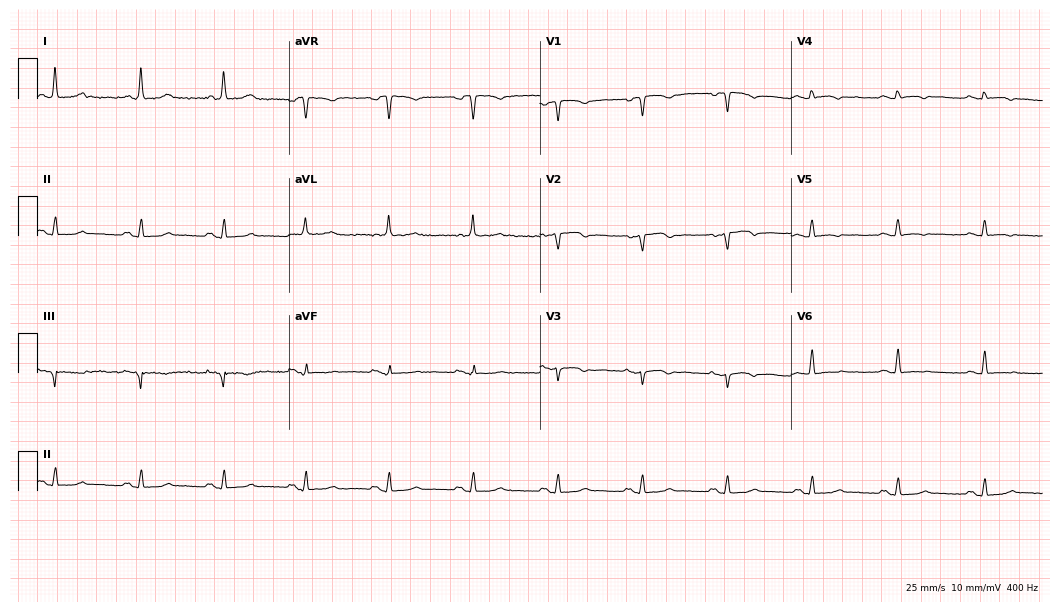
ECG (10.2-second recording at 400 Hz) — a 76-year-old woman. Screened for six findings — first-degree AV block, right bundle branch block, left bundle branch block, sinus bradycardia, atrial fibrillation, sinus tachycardia — none is recorded.